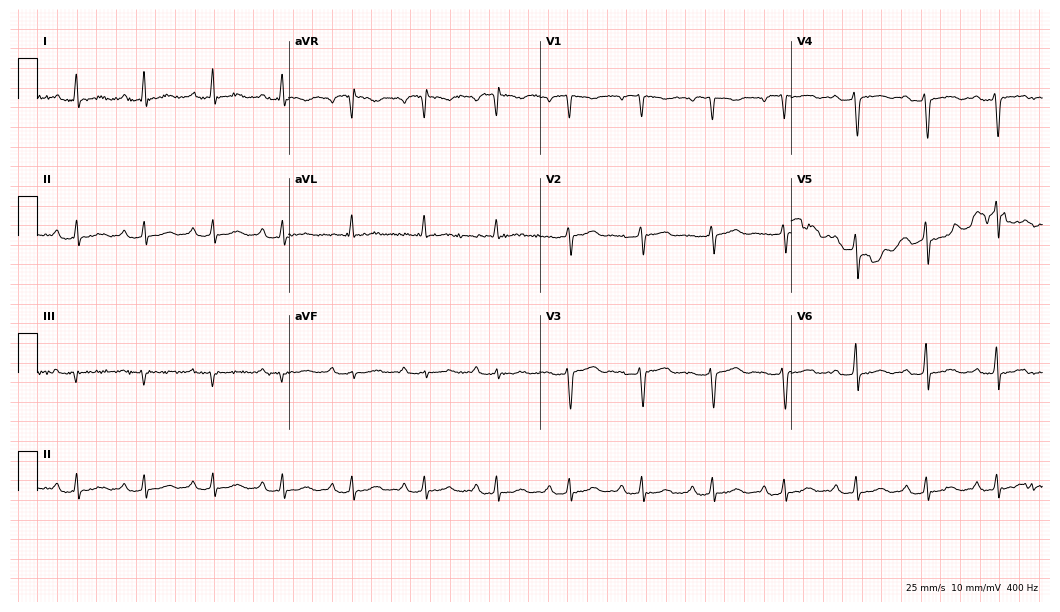
12-lead ECG from a 54-year-old woman. Screened for six findings — first-degree AV block, right bundle branch block, left bundle branch block, sinus bradycardia, atrial fibrillation, sinus tachycardia — none is recorded.